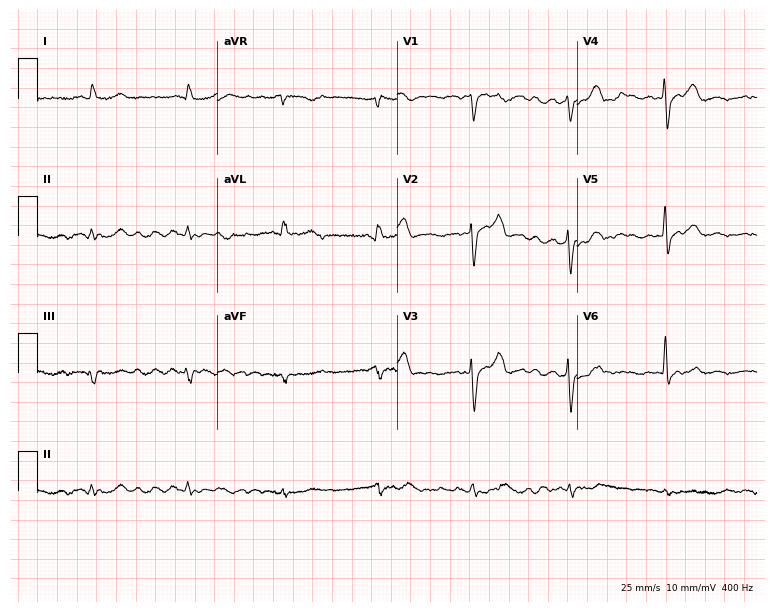
12-lead ECG from a 69-year-old man. Screened for six findings — first-degree AV block, right bundle branch block, left bundle branch block, sinus bradycardia, atrial fibrillation, sinus tachycardia — none is recorded. Other findings, if any, are not listed.